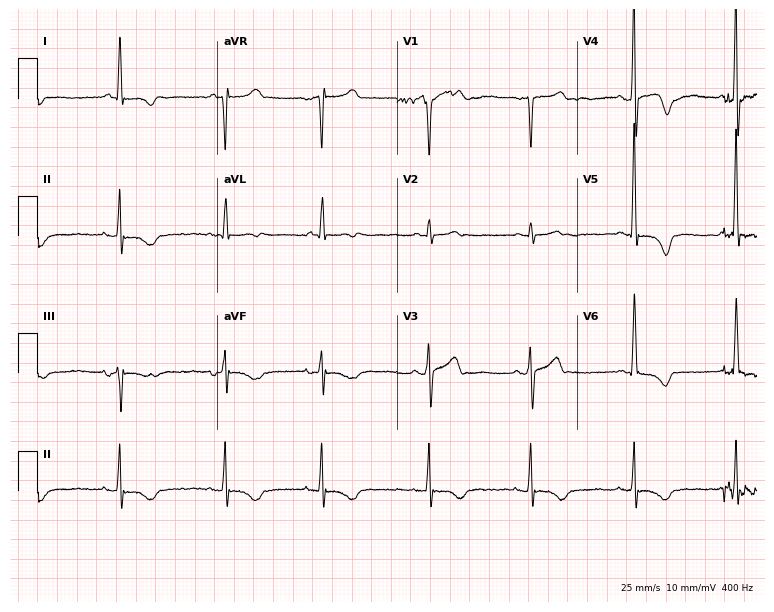
12-lead ECG (7.3-second recording at 400 Hz) from a male, 66 years old. Screened for six findings — first-degree AV block, right bundle branch block, left bundle branch block, sinus bradycardia, atrial fibrillation, sinus tachycardia — none is recorded. Findings outside these six are not listed.